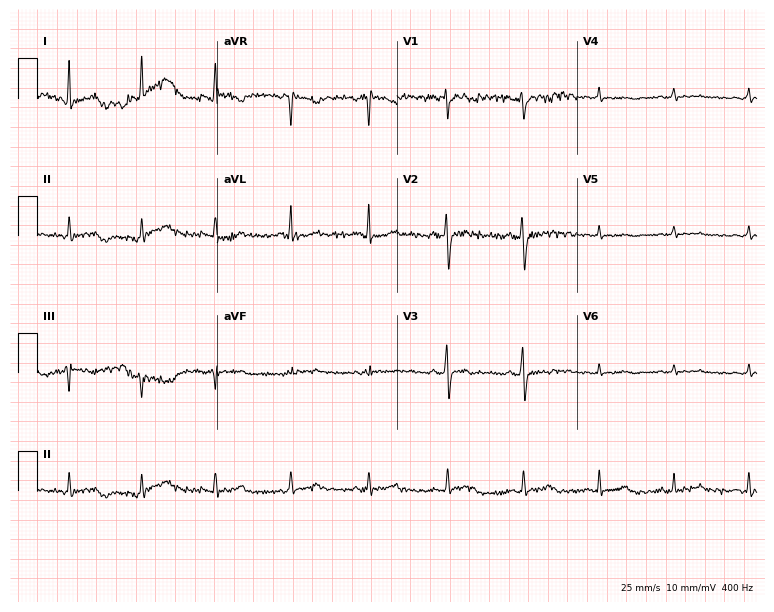
12-lead ECG (7.3-second recording at 400 Hz) from a female patient, 29 years old. Screened for six findings — first-degree AV block, right bundle branch block, left bundle branch block, sinus bradycardia, atrial fibrillation, sinus tachycardia — none is recorded.